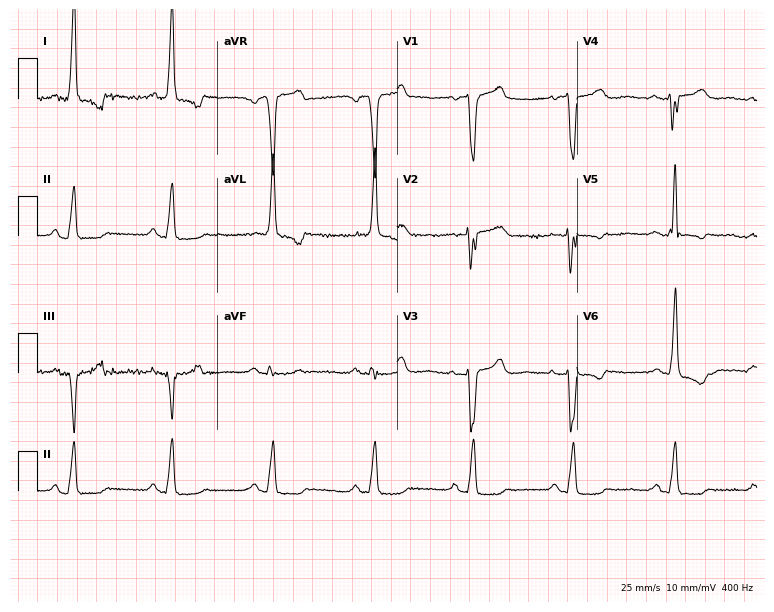
ECG (7.3-second recording at 400 Hz) — a 77-year-old female patient. Screened for six findings — first-degree AV block, right bundle branch block, left bundle branch block, sinus bradycardia, atrial fibrillation, sinus tachycardia — none is recorded.